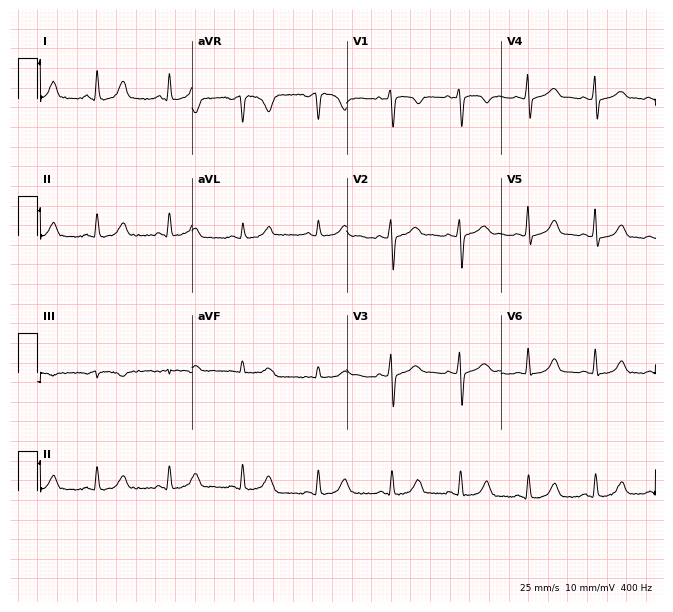
ECG (6.3-second recording at 400 Hz) — a female patient, 33 years old. Screened for six findings — first-degree AV block, right bundle branch block (RBBB), left bundle branch block (LBBB), sinus bradycardia, atrial fibrillation (AF), sinus tachycardia — none is recorded.